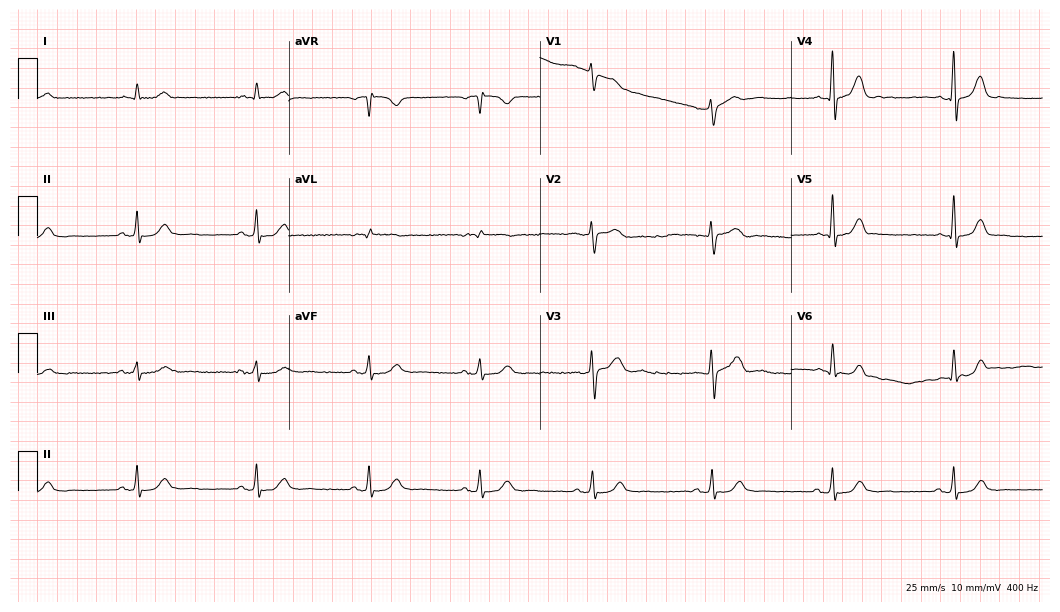
12-lead ECG from a male patient, 58 years old (10.2-second recording at 400 Hz). No first-degree AV block, right bundle branch block, left bundle branch block, sinus bradycardia, atrial fibrillation or sinus tachycardia recorded for this tracing.